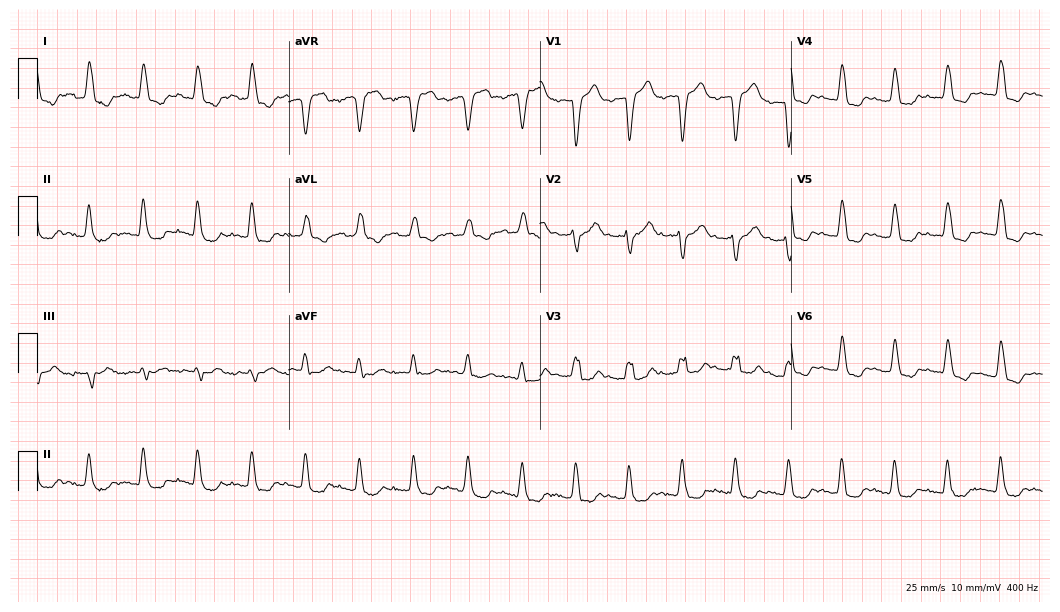
12-lead ECG from a woman, 78 years old (10.2-second recording at 400 Hz). Shows sinus tachycardia (a sinus rate of 100 beats per minute or more).